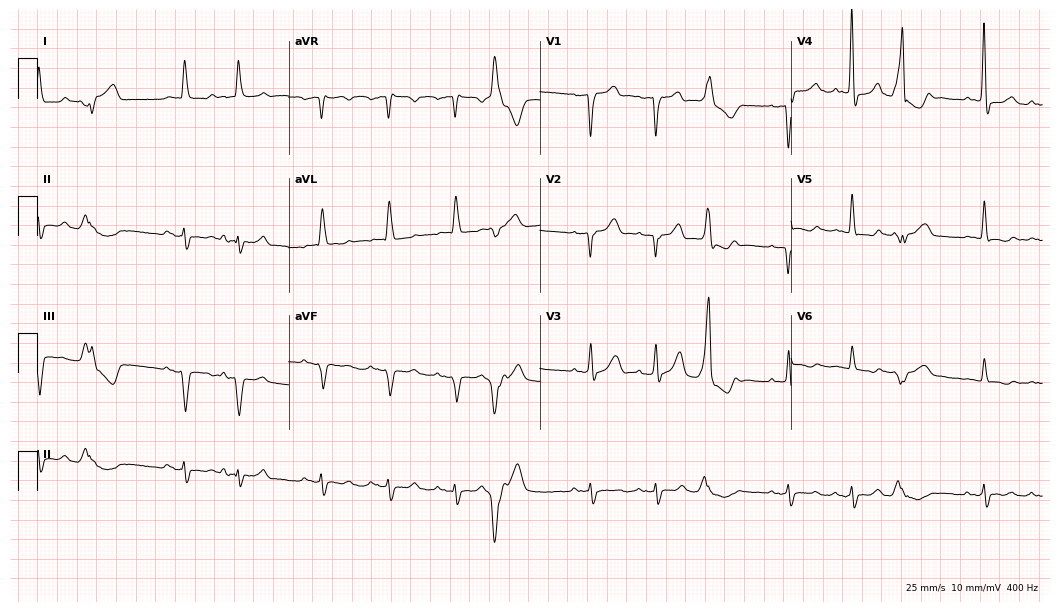
12-lead ECG from a male patient, 60 years old. Screened for six findings — first-degree AV block, right bundle branch block (RBBB), left bundle branch block (LBBB), sinus bradycardia, atrial fibrillation (AF), sinus tachycardia — none is recorded.